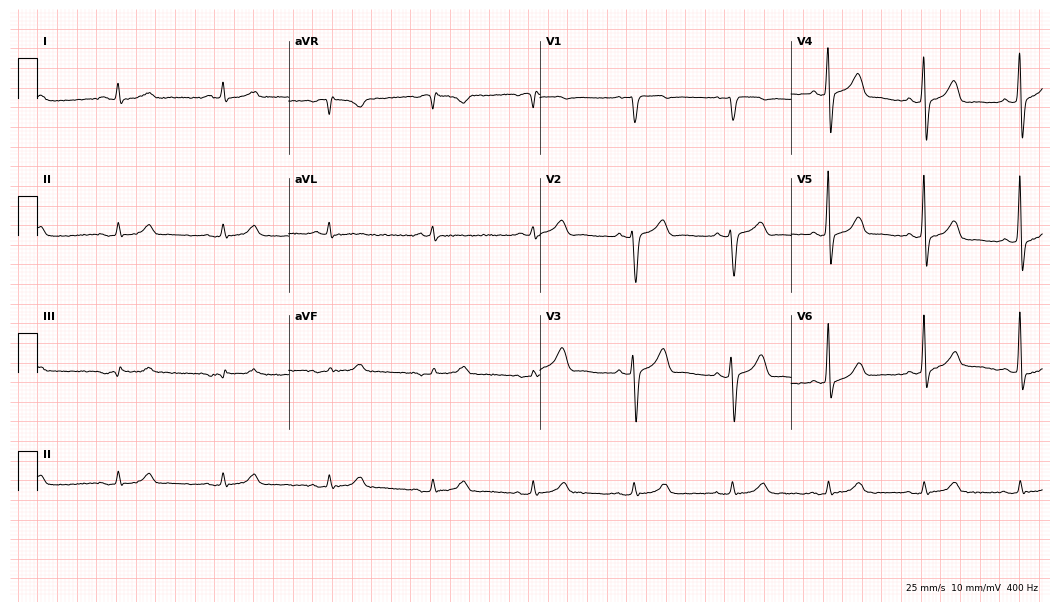
12-lead ECG from a male, 67 years old. Recorded interpretation: within normal limits.